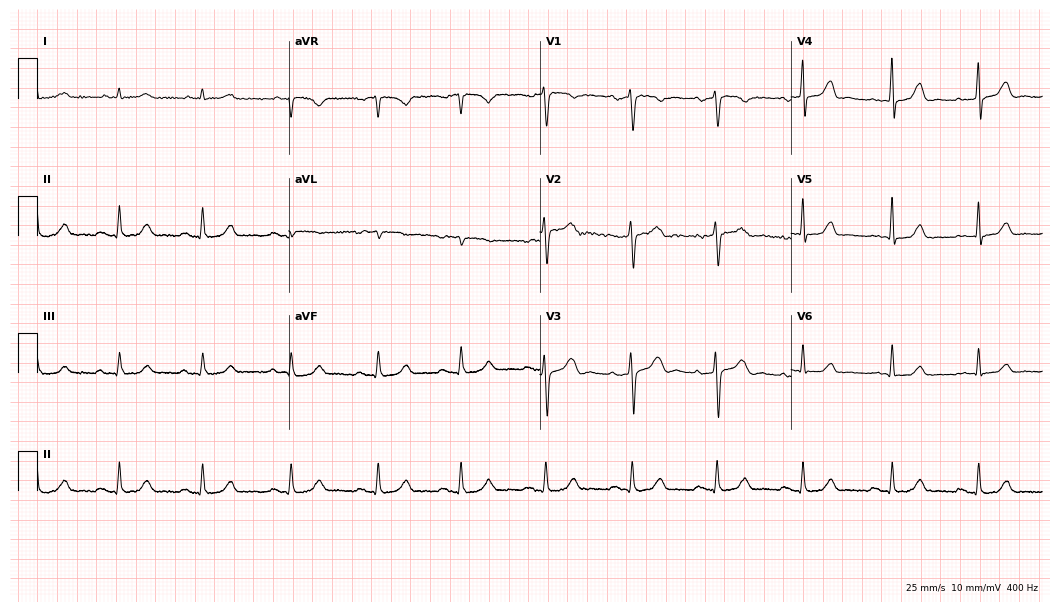
Electrocardiogram (10.2-second recording at 400 Hz), a 57-year-old man. Of the six screened findings (first-degree AV block, right bundle branch block, left bundle branch block, sinus bradycardia, atrial fibrillation, sinus tachycardia), none is recorded. Other findings, if any, are not listed.